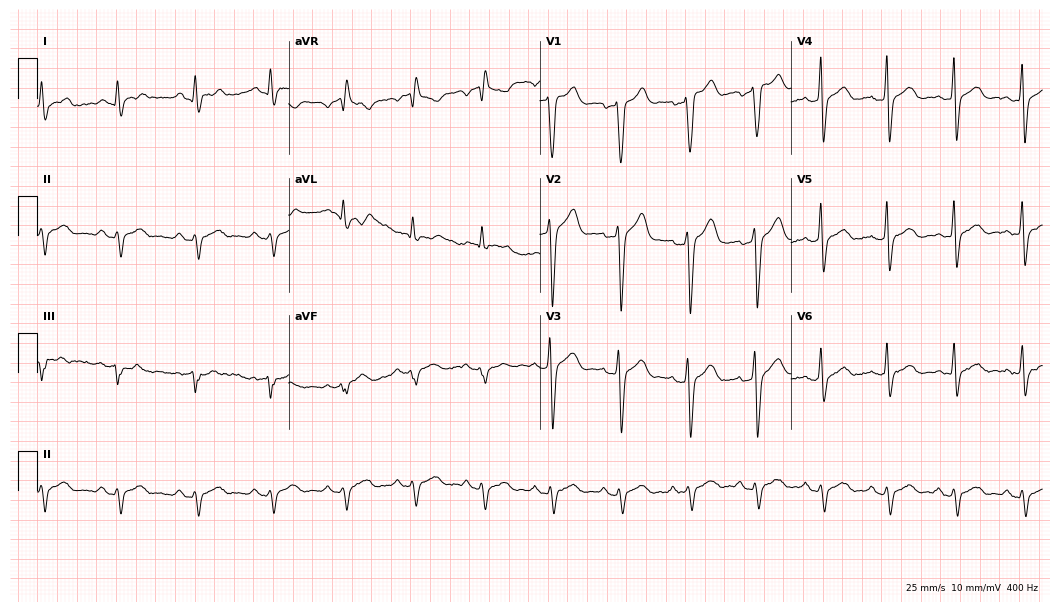
12-lead ECG from a 31-year-old male patient (10.2-second recording at 400 Hz). No first-degree AV block, right bundle branch block, left bundle branch block, sinus bradycardia, atrial fibrillation or sinus tachycardia recorded for this tracing.